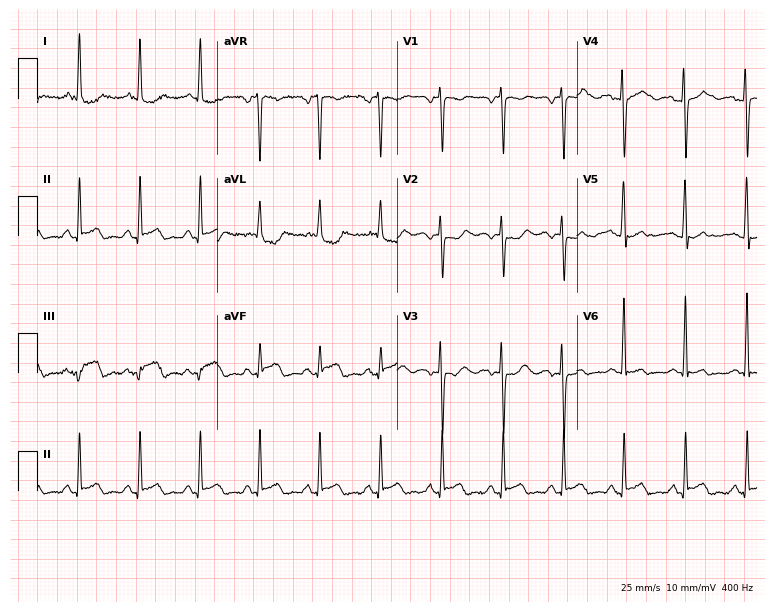
Electrocardiogram (7.3-second recording at 400 Hz), a 78-year-old female patient. Of the six screened findings (first-degree AV block, right bundle branch block (RBBB), left bundle branch block (LBBB), sinus bradycardia, atrial fibrillation (AF), sinus tachycardia), none is recorded. Other findings, if any, are not listed.